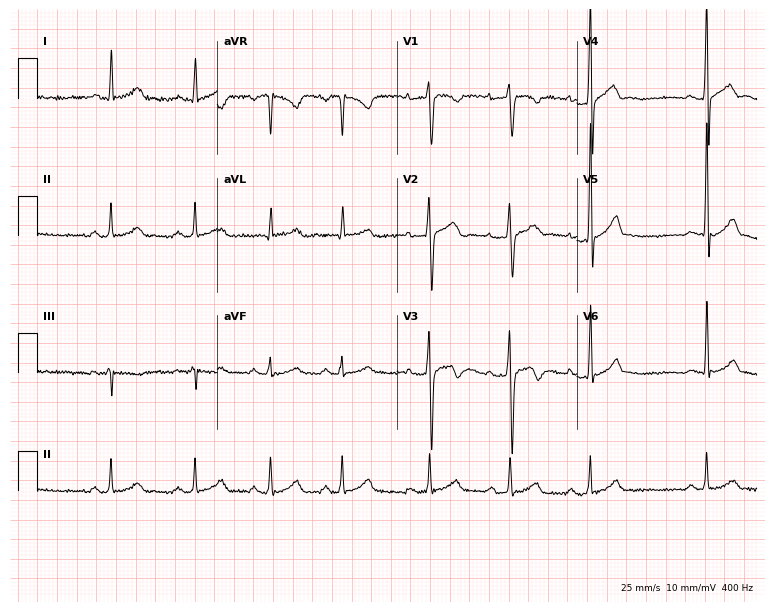
Resting 12-lead electrocardiogram. Patient: a man, 20 years old. Read as a normal ECG.